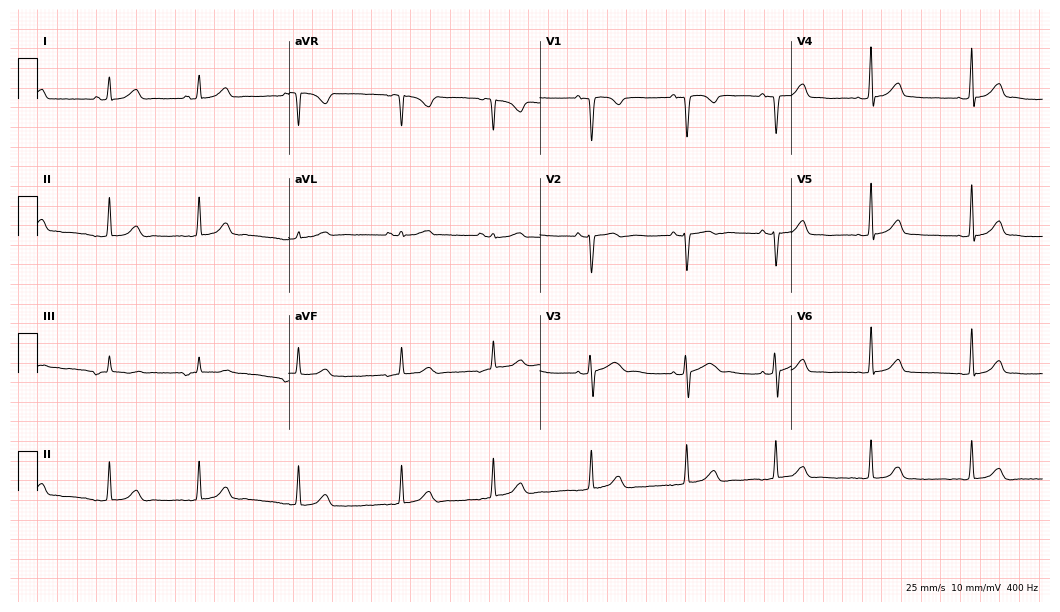
ECG (10.2-second recording at 400 Hz) — a female patient, 24 years old. Labelled as a normal ECG.